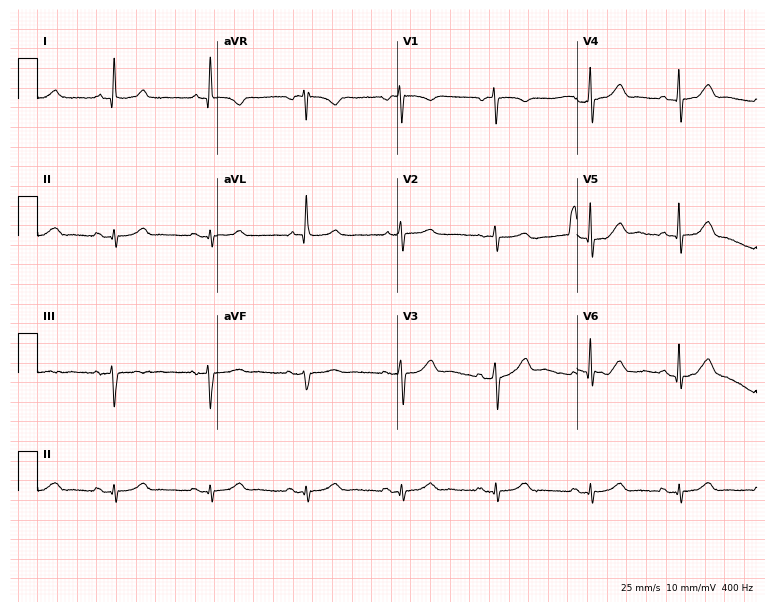
12-lead ECG from a 69-year-old man (7.3-second recording at 400 Hz). Recorded interpretation: within normal limits.